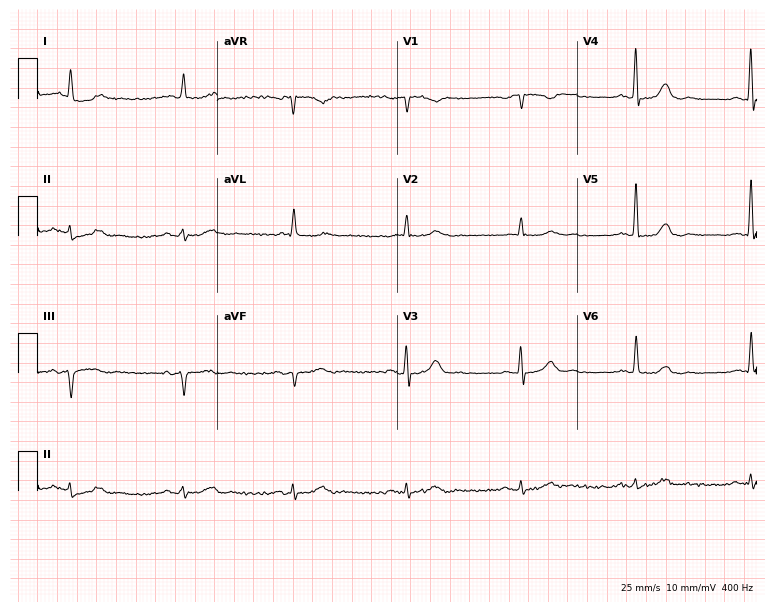
12-lead ECG from a 76-year-old man. Screened for six findings — first-degree AV block, right bundle branch block, left bundle branch block, sinus bradycardia, atrial fibrillation, sinus tachycardia — none is recorded.